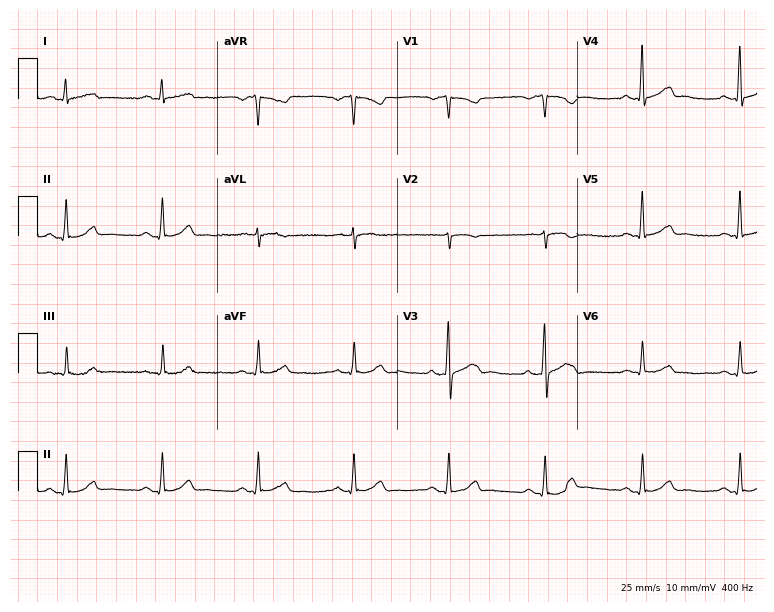
12-lead ECG from a male, 59 years old (7.3-second recording at 400 Hz). No first-degree AV block, right bundle branch block, left bundle branch block, sinus bradycardia, atrial fibrillation or sinus tachycardia recorded for this tracing. Findings outside these six are not listed.